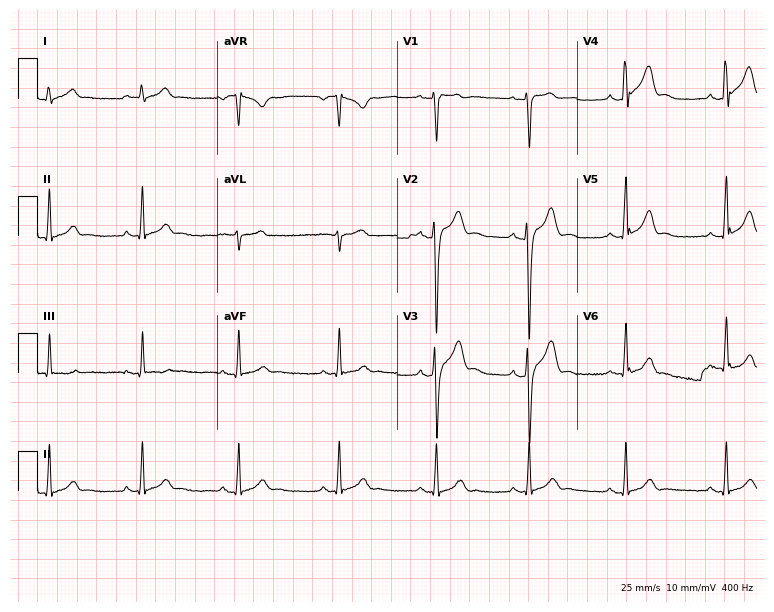
12-lead ECG from a male patient, 22 years old. Recorded interpretation: within normal limits.